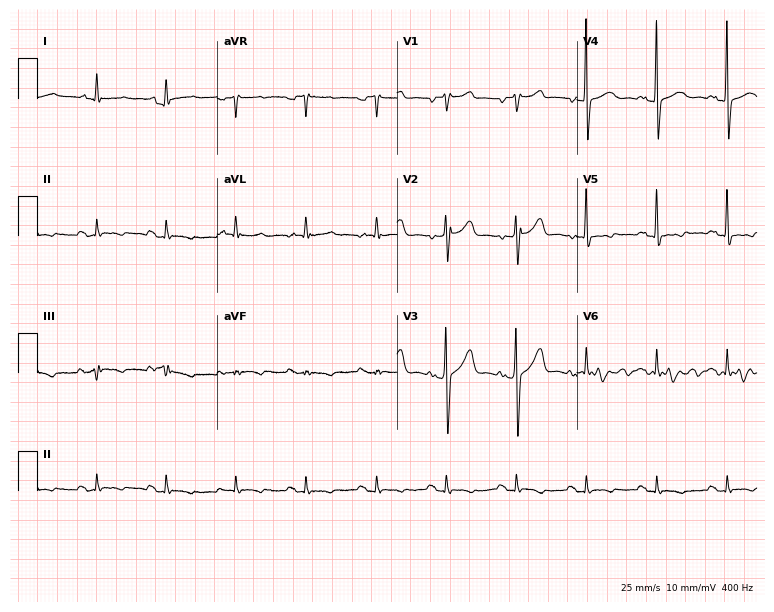
Electrocardiogram, a 59-year-old male. Of the six screened findings (first-degree AV block, right bundle branch block, left bundle branch block, sinus bradycardia, atrial fibrillation, sinus tachycardia), none is recorded.